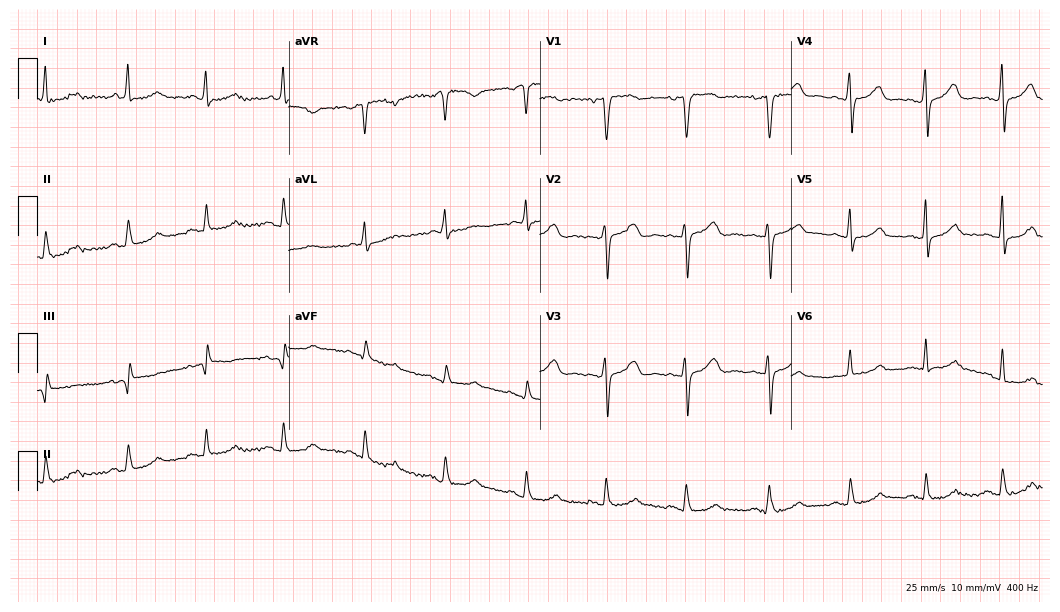
Standard 12-lead ECG recorded from a female patient, 66 years old (10.2-second recording at 400 Hz). Read as a normal ECG.